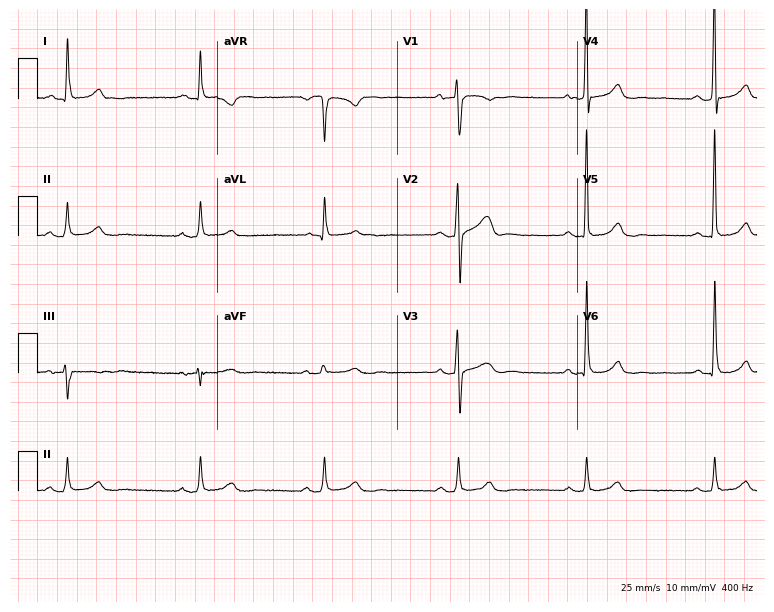
Resting 12-lead electrocardiogram. Patient: a 67-year-old female. Read as a normal ECG.